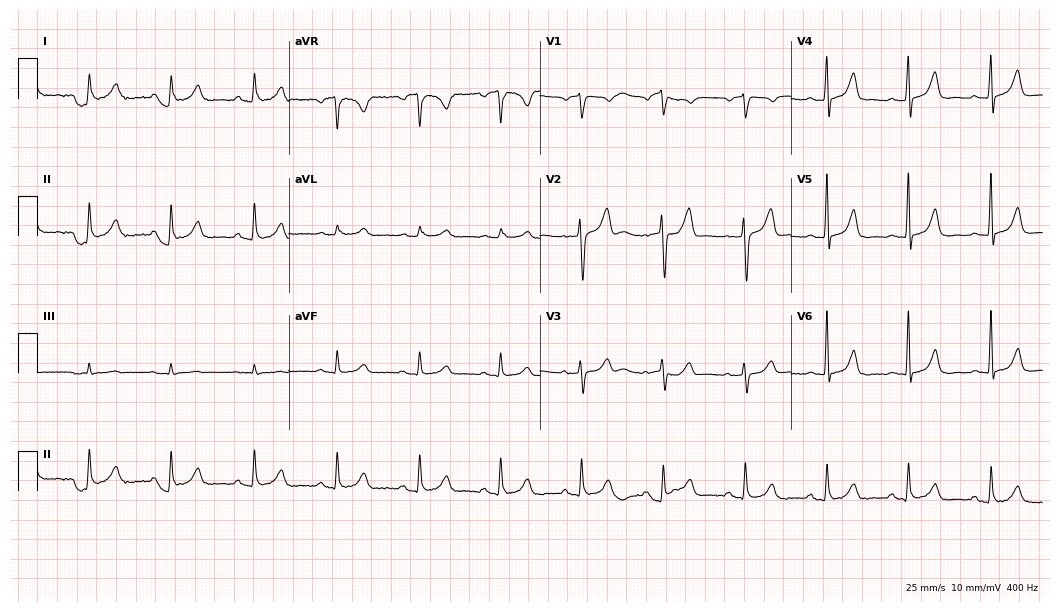
Standard 12-lead ECG recorded from a man, 62 years old. None of these six findings is recorded: first-degree AV block, right bundle branch block (RBBB), left bundle branch block (LBBB), sinus bradycardia, atrial fibrillation (AF), sinus tachycardia. Other findings, if any, are not listed.